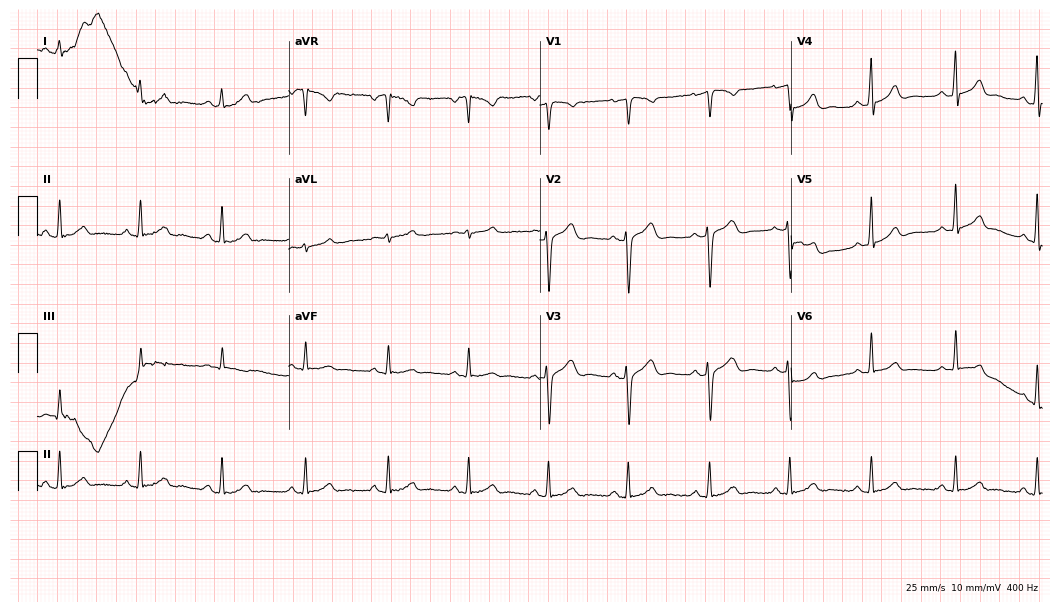
ECG (10.2-second recording at 400 Hz) — a female, 45 years old. Labelled as a normal ECG.